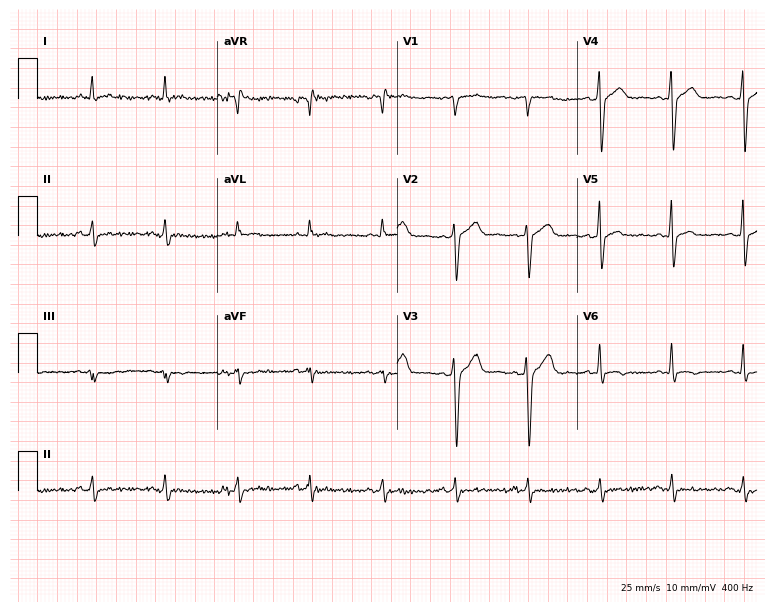
Standard 12-lead ECG recorded from a male patient, 45 years old. None of these six findings is recorded: first-degree AV block, right bundle branch block (RBBB), left bundle branch block (LBBB), sinus bradycardia, atrial fibrillation (AF), sinus tachycardia.